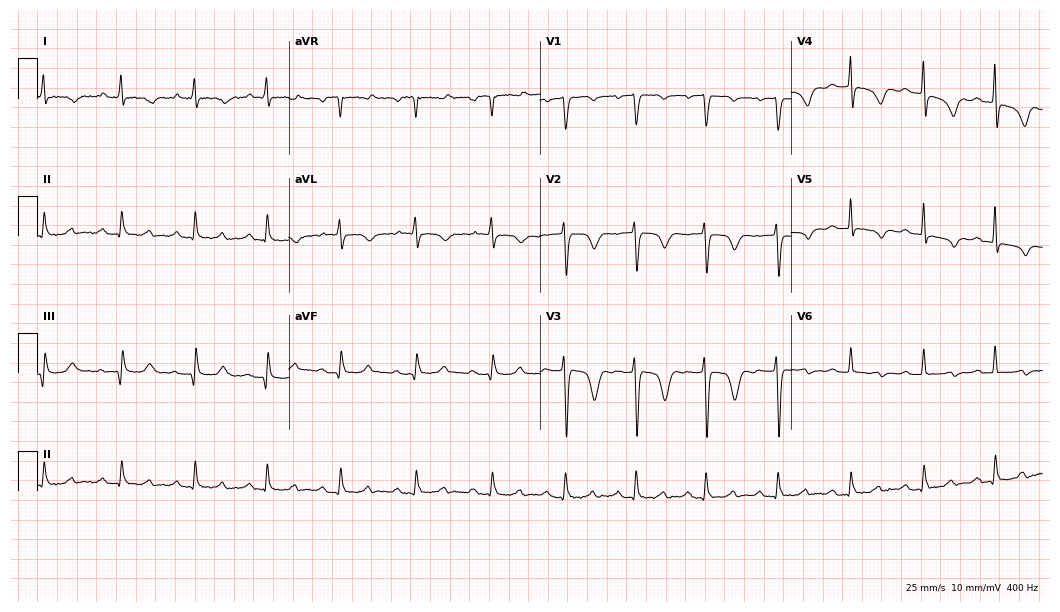
ECG (10.2-second recording at 400 Hz) — a female patient, 64 years old. Screened for six findings — first-degree AV block, right bundle branch block, left bundle branch block, sinus bradycardia, atrial fibrillation, sinus tachycardia — none is recorded. Findings outside these six are not listed.